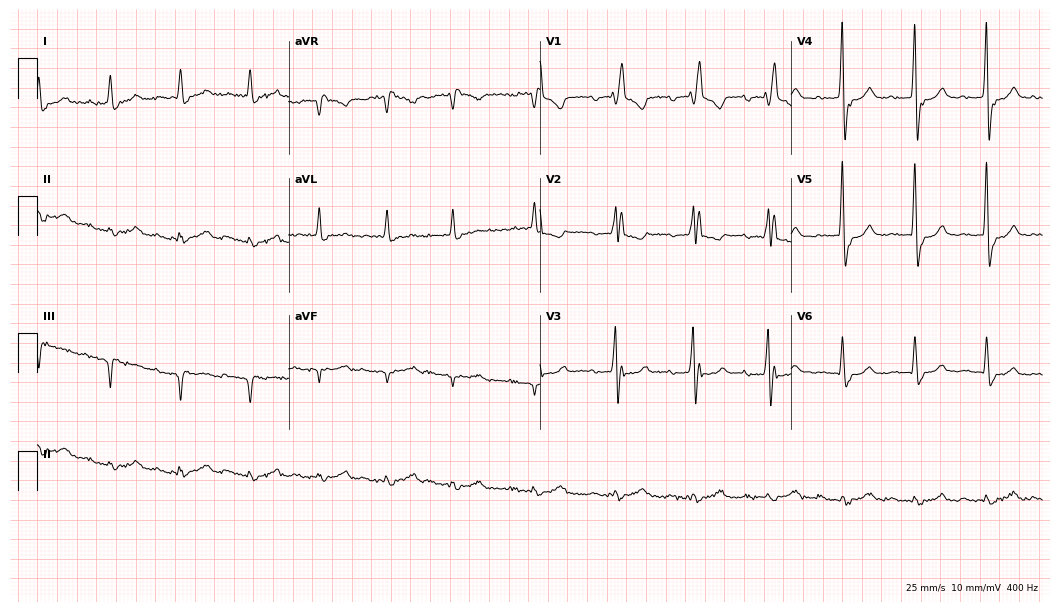
Electrocardiogram, a man, 83 years old. Interpretation includes right bundle branch block (RBBB).